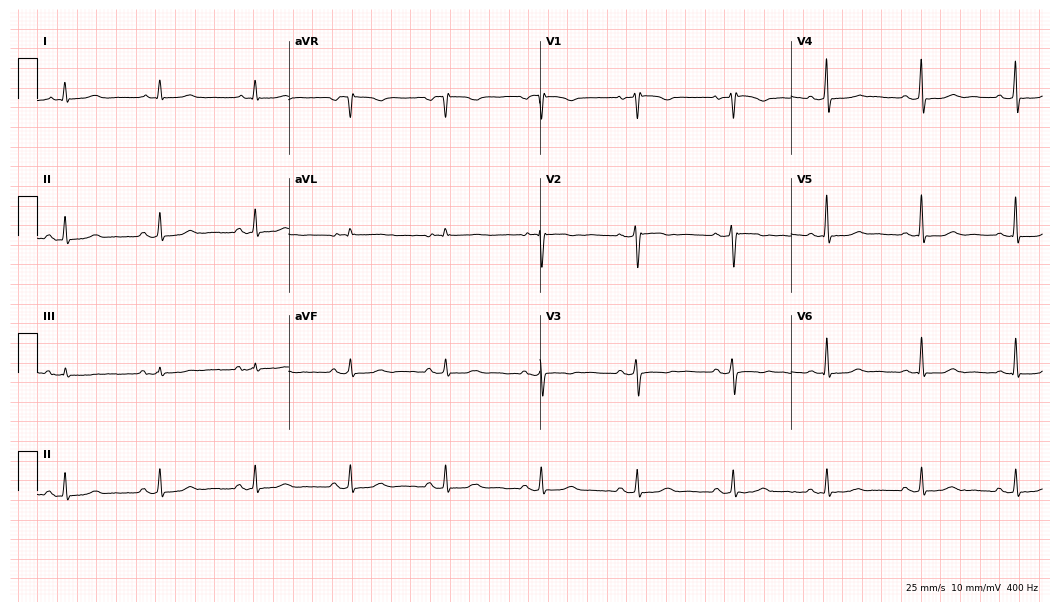
12-lead ECG (10.2-second recording at 400 Hz) from a 53-year-old female. Labelled as a normal ECG.